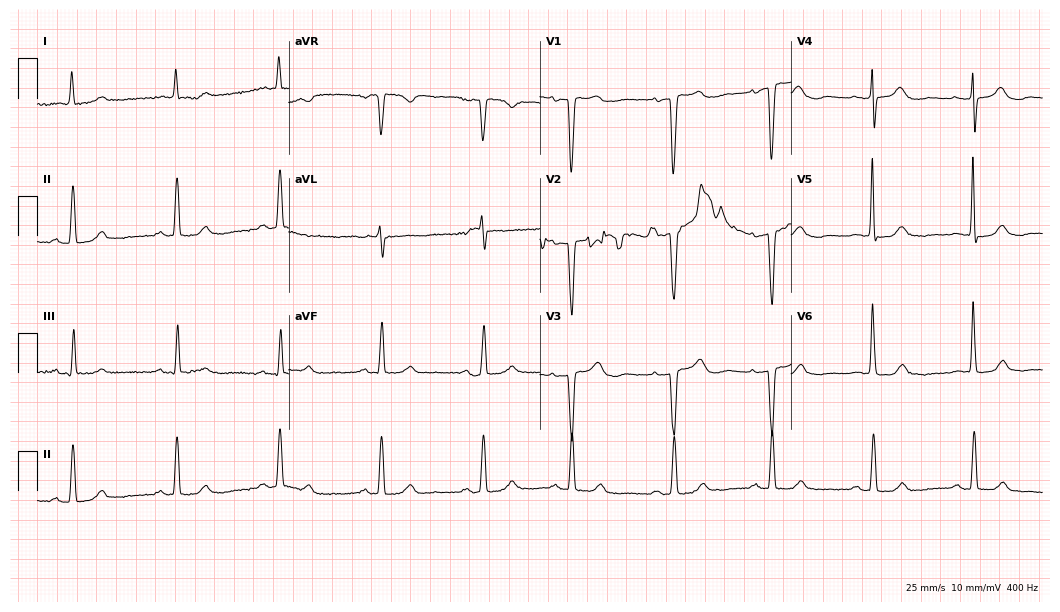
ECG (10.2-second recording at 400 Hz) — a woman, 84 years old. Screened for six findings — first-degree AV block, right bundle branch block (RBBB), left bundle branch block (LBBB), sinus bradycardia, atrial fibrillation (AF), sinus tachycardia — none is recorded. Findings outside these six are not listed.